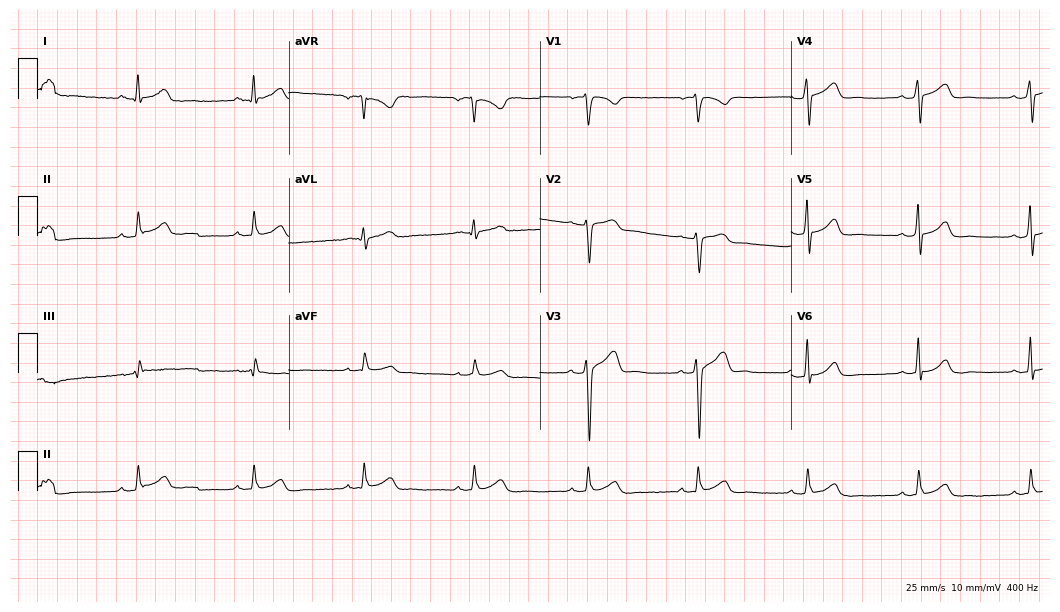
ECG — a man, 39 years old. Screened for six findings — first-degree AV block, right bundle branch block, left bundle branch block, sinus bradycardia, atrial fibrillation, sinus tachycardia — none is recorded. Findings outside these six are not listed.